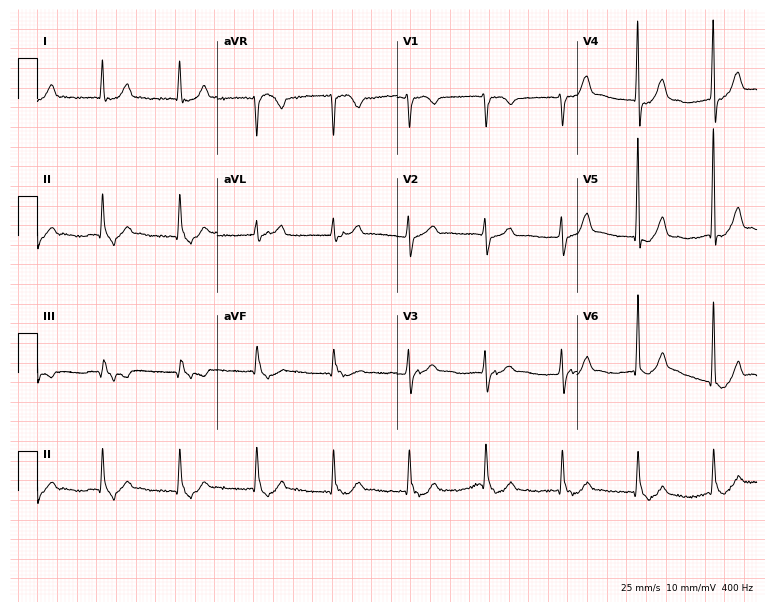
Resting 12-lead electrocardiogram. Patient: a 72-year-old female. None of these six findings is recorded: first-degree AV block, right bundle branch block, left bundle branch block, sinus bradycardia, atrial fibrillation, sinus tachycardia.